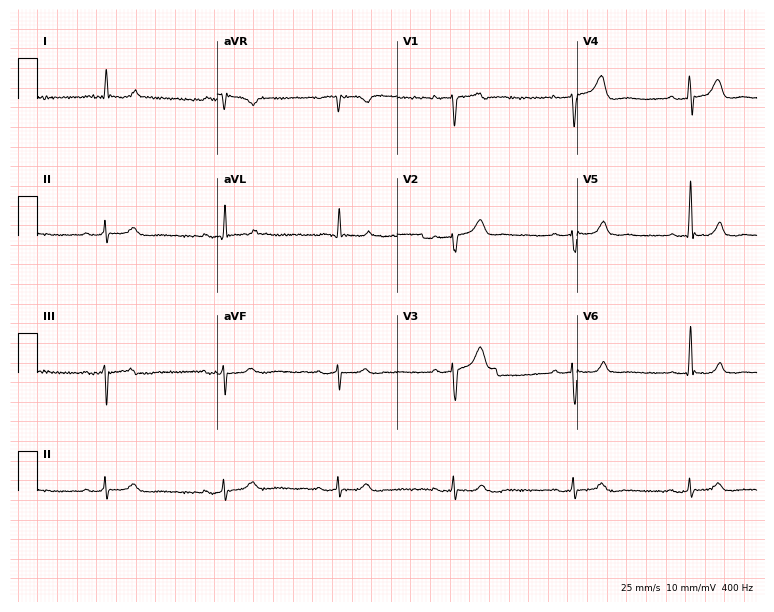
12-lead ECG from a 65-year-old male patient. Findings include sinus bradycardia (a sinus rate of 50 beats per minute or less).